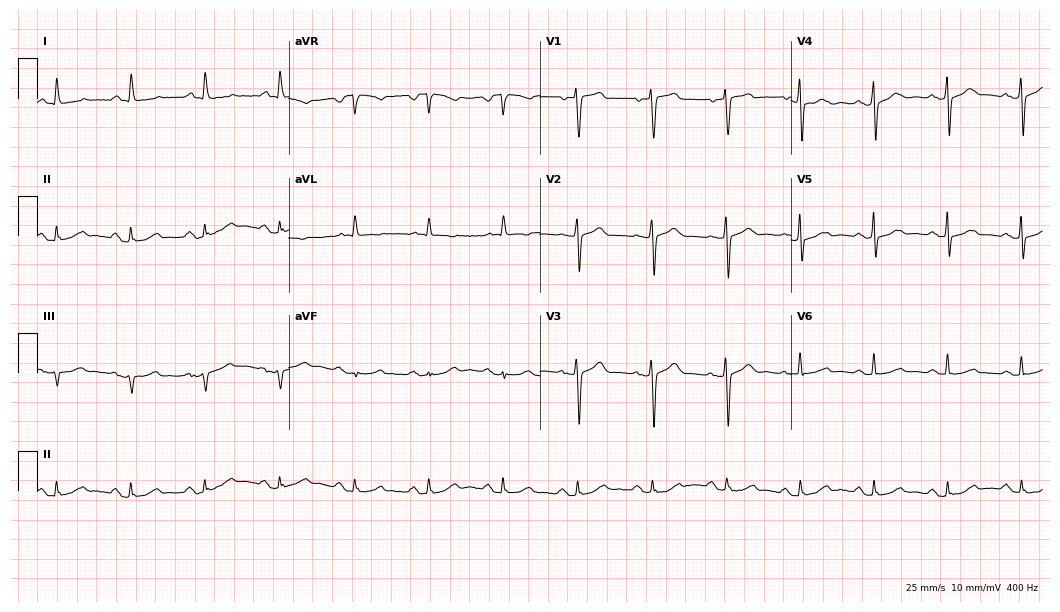
ECG (10.2-second recording at 400 Hz) — a woman, 78 years old. Labelled as a normal ECG.